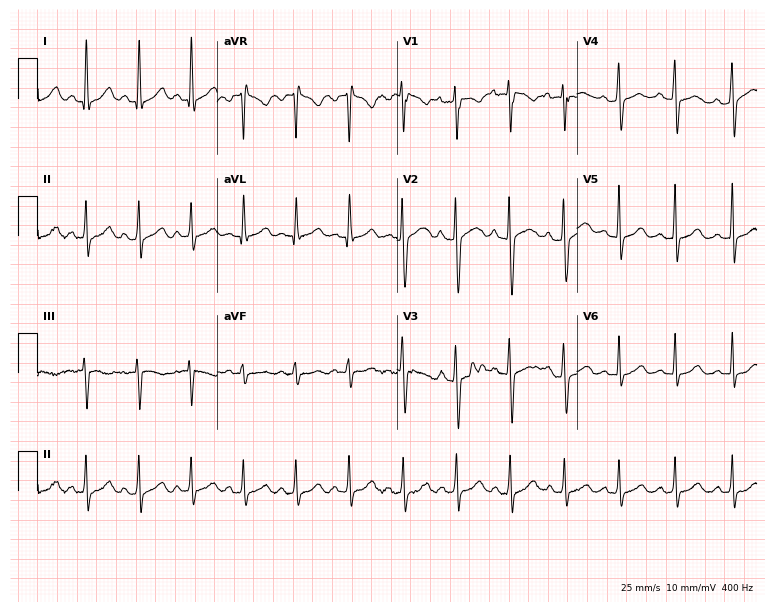
Standard 12-lead ECG recorded from a 20-year-old female patient (7.3-second recording at 400 Hz). The tracing shows sinus tachycardia (a sinus rate of 100 beats per minute or more).